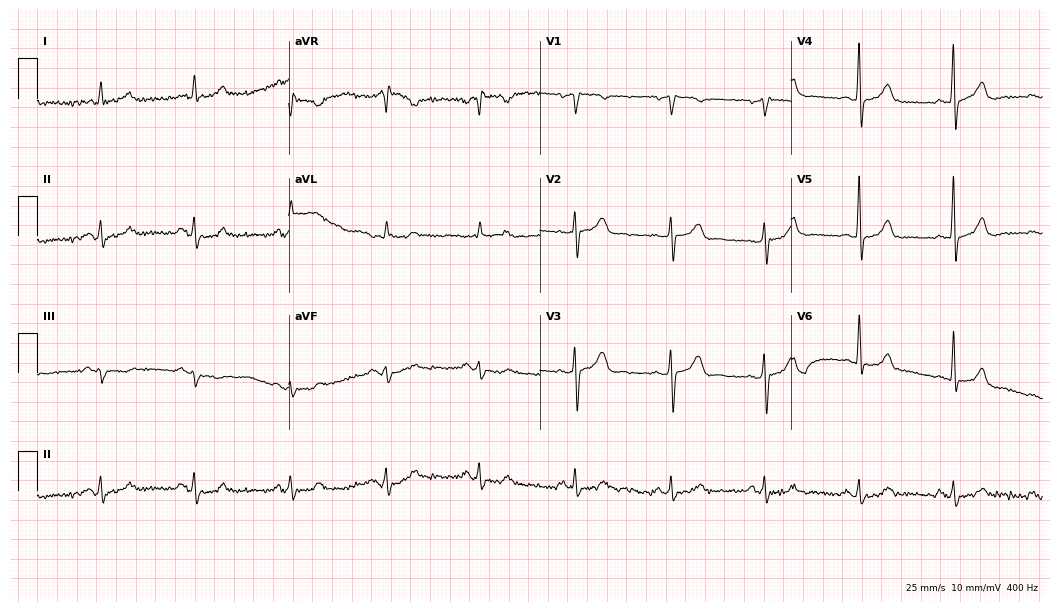
ECG (10.2-second recording at 400 Hz) — a 62-year-old man. Screened for six findings — first-degree AV block, right bundle branch block, left bundle branch block, sinus bradycardia, atrial fibrillation, sinus tachycardia — none is recorded. Only these six findings were labelled.